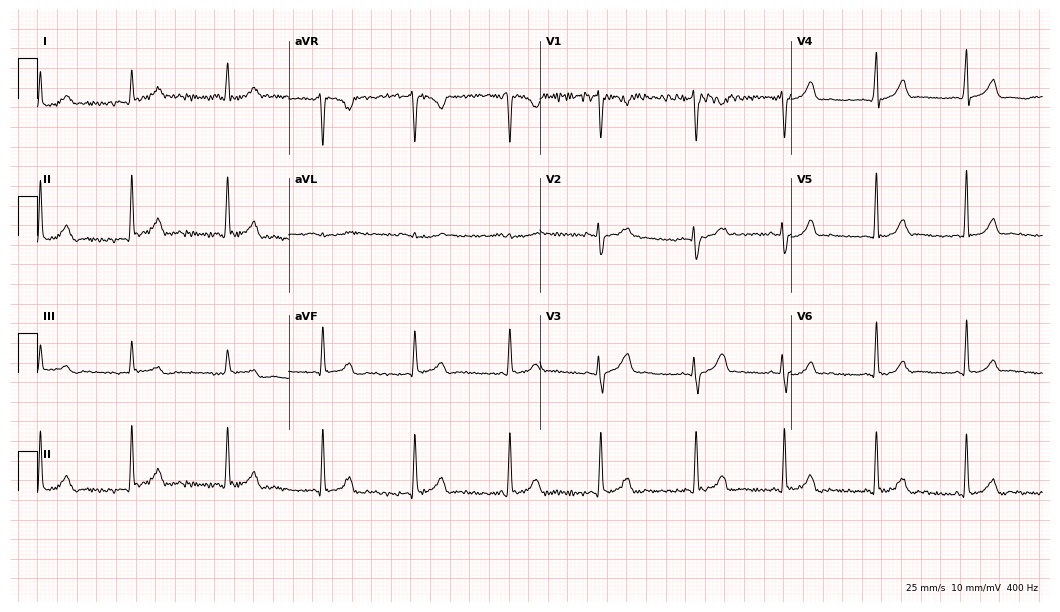
Electrocardiogram, a woman, 27 years old. Overall reading on record: normal ECG.